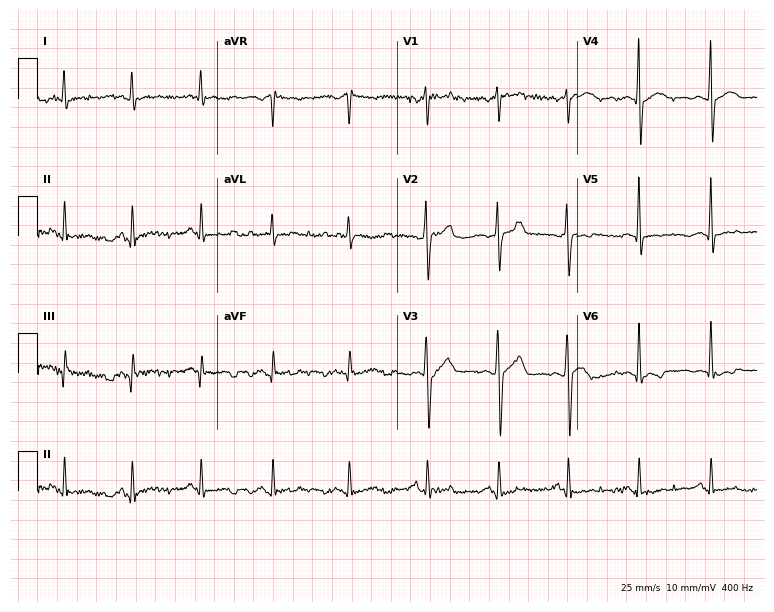
ECG — a 34-year-old male patient. Screened for six findings — first-degree AV block, right bundle branch block, left bundle branch block, sinus bradycardia, atrial fibrillation, sinus tachycardia — none is recorded.